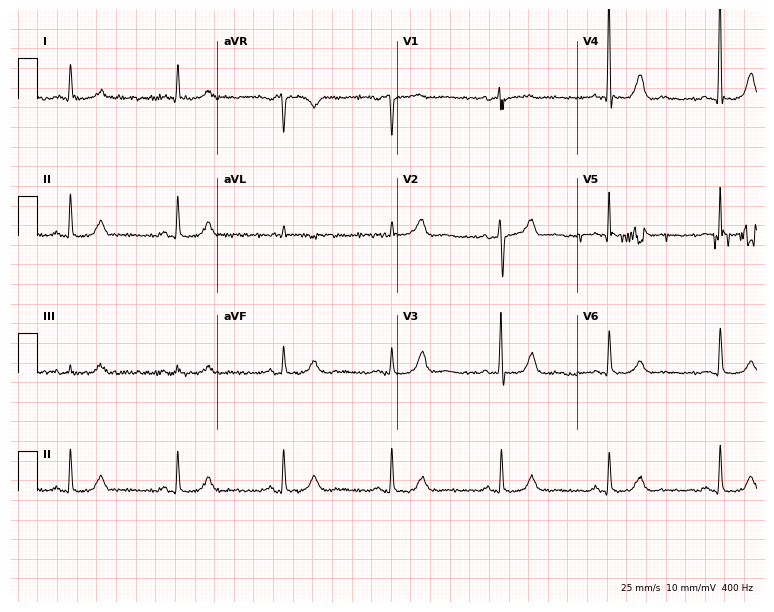
12-lead ECG from a 79-year-old woman. Screened for six findings — first-degree AV block, right bundle branch block (RBBB), left bundle branch block (LBBB), sinus bradycardia, atrial fibrillation (AF), sinus tachycardia — none is recorded. Findings outside these six are not listed.